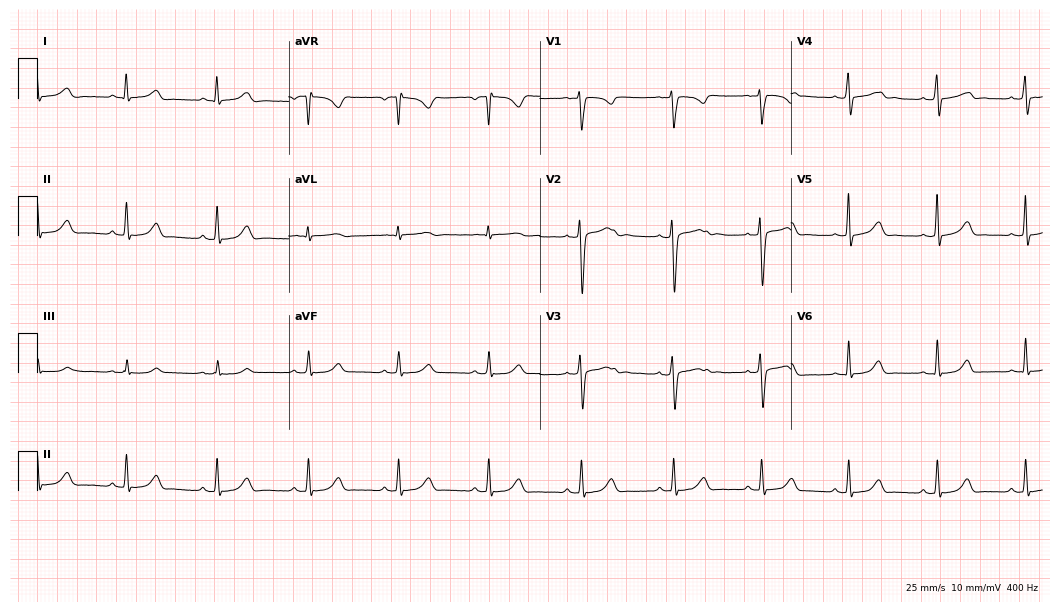
12-lead ECG from a woman, 20 years old. Recorded interpretation: within normal limits.